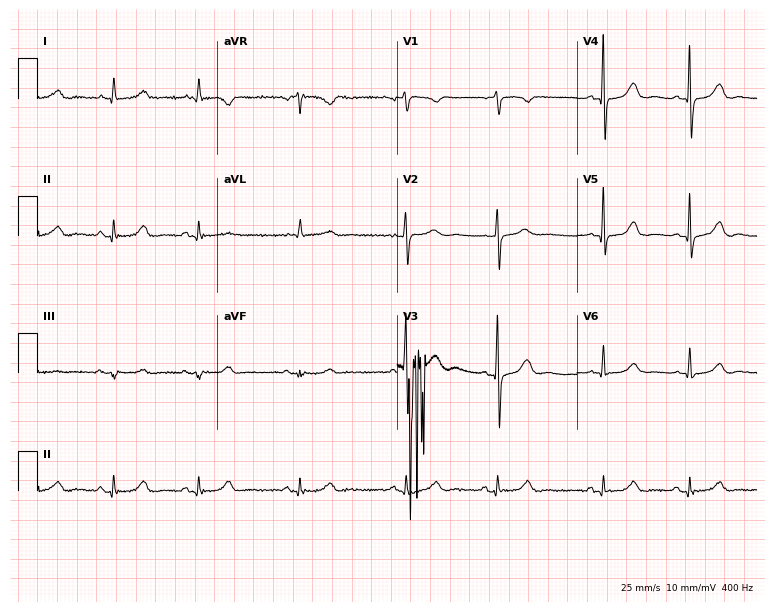
12-lead ECG from a 72-year-old woman. No first-degree AV block, right bundle branch block (RBBB), left bundle branch block (LBBB), sinus bradycardia, atrial fibrillation (AF) or sinus tachycardia recorded for this tracing. Only these six findings were labelled.